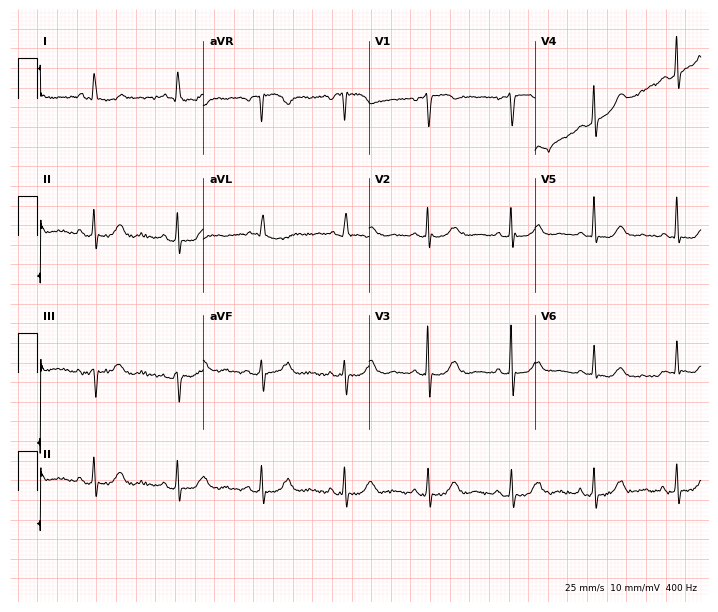
Resting 12-lead electrocardiogram. Patient: a 76-year-old woman. None of these six findings is recorded: first-degree AV block, right bundle branch block (RBBB), left bundle branch block (LBBB), sinus bradycardia, atrial fibrillation (AF), sinus tachycardia. Other findings, if any, are not listed.